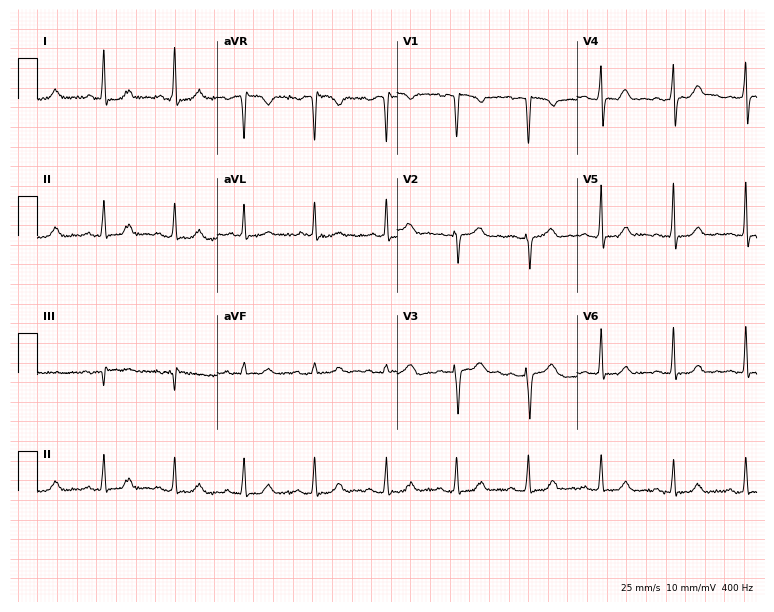
12-lead ECG from a female patient, 46 years old (7.3-second recording at 400 Hz). Recorded interpretation: within normal limits.